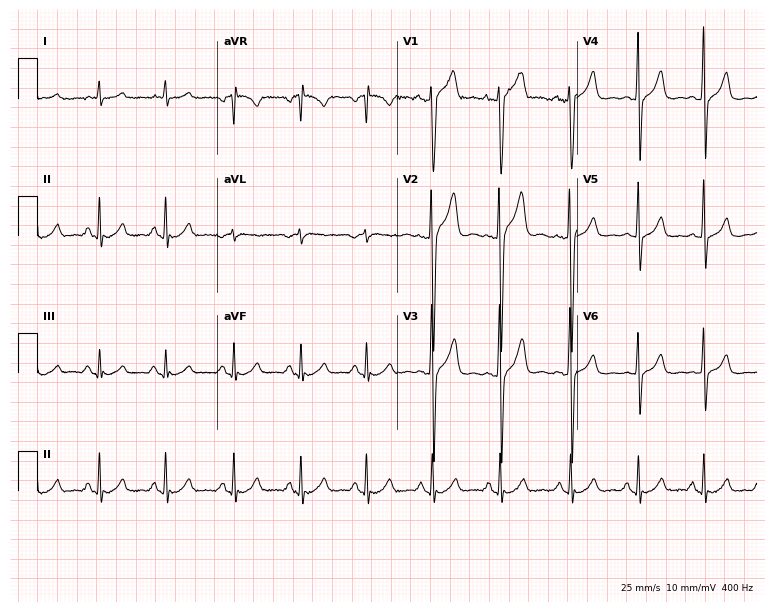
Standard 12-lead ECG recorded from a 23-year-old man (7.3-second recording at 400 Hz). None of these six findings is recorded: first-degree AV block, right bundle branch block (RBBB), left bundle branch block (LBBB), sinus bradycardia, atrial fibrillation (AF), sinus tachycardia. Only these six findings were labelled.